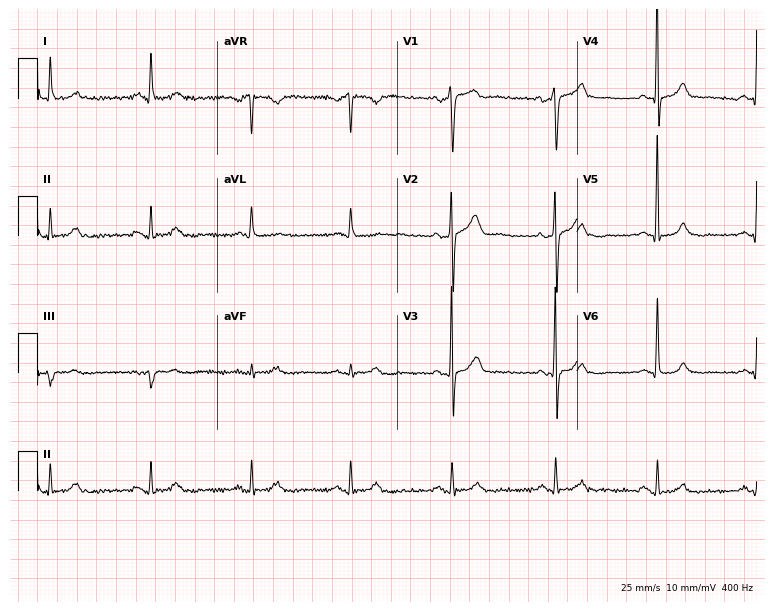
Resting 12-lead electrocardiogram. Patient: a 73-year-old male. Read as a normal ECG.